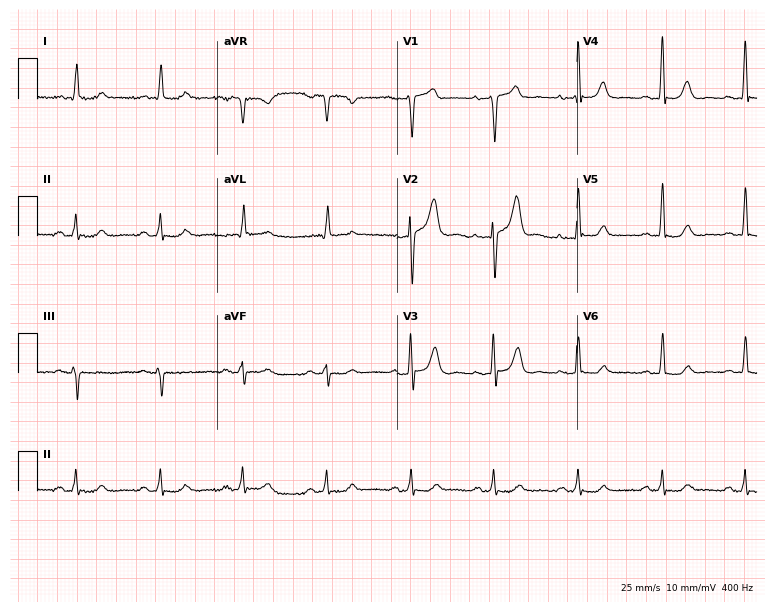
Electrocardiogram, a 60-year-old male patient. Overall reading on record: normal ECG.